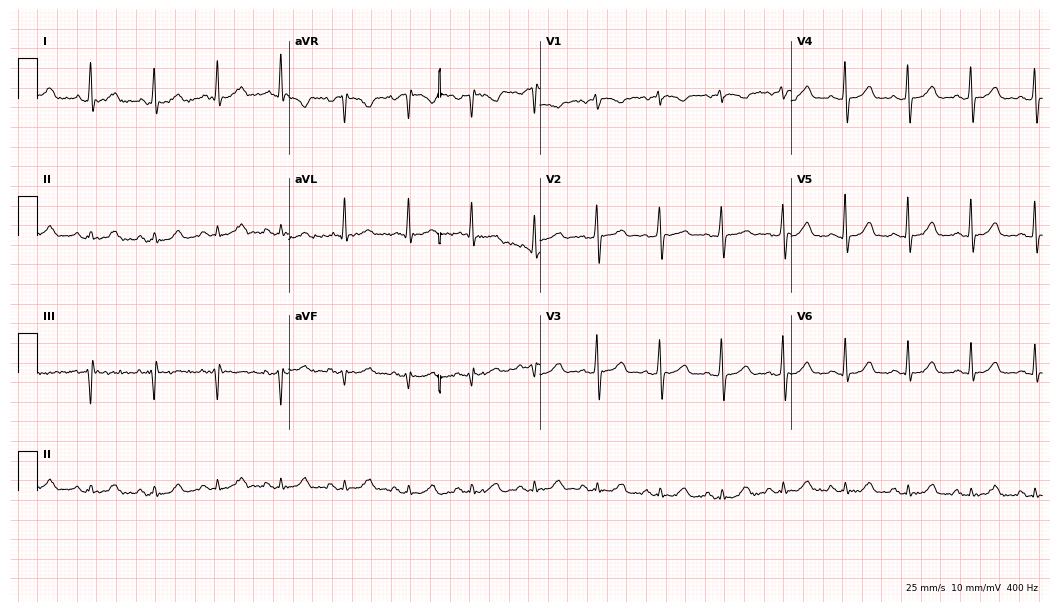
Standard 12-lead ECG recorded from a 66-year-old female. Read as a normal ECG.